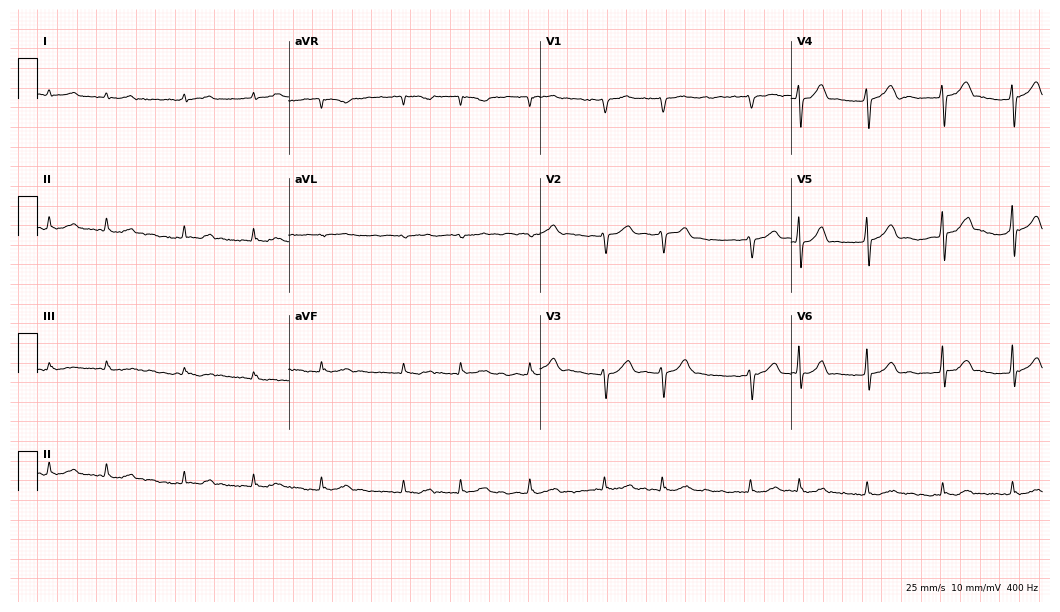
12-lead ECG from a male patient, 82 years old. Shows atrial fibrillation (AF).